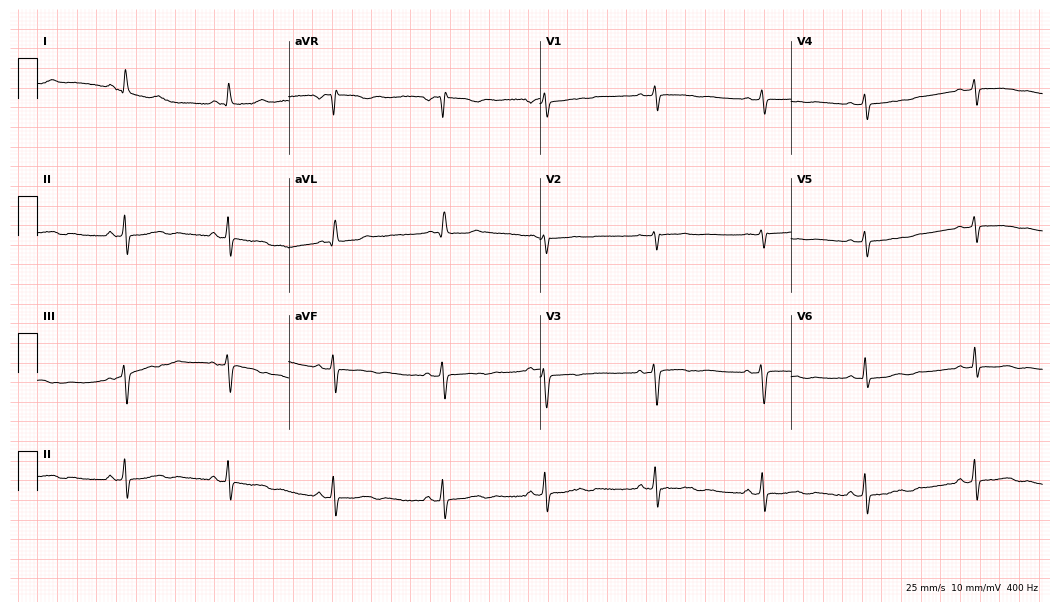
Electrocardiogram (10.2-second recording at 400 Hz), a 58-year-old female patient. Of the six screened findings (first-degree AV block, right bundle branch block (RBBB), left bundle branch block (LBBB), sinus bradycardia, atrial fibrillation (AF), sinus tachycardia), none is recorded. Findings outside these six are not listed.